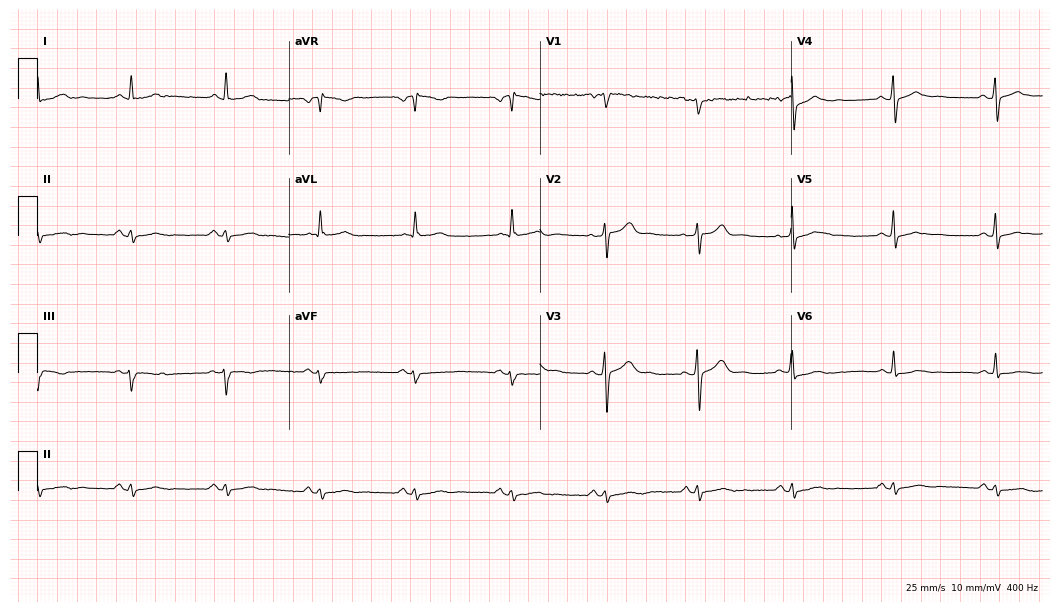
Resting 12-lead electrocardiogram. Patient: a male, 42 years old. None of these six findings is recorded: first-degree AV block, right bundle branch block, left bundle branch block, sinus bradycardia, atrial fibrillation, sinus tachycardia. Other findings, if any, are not listed.